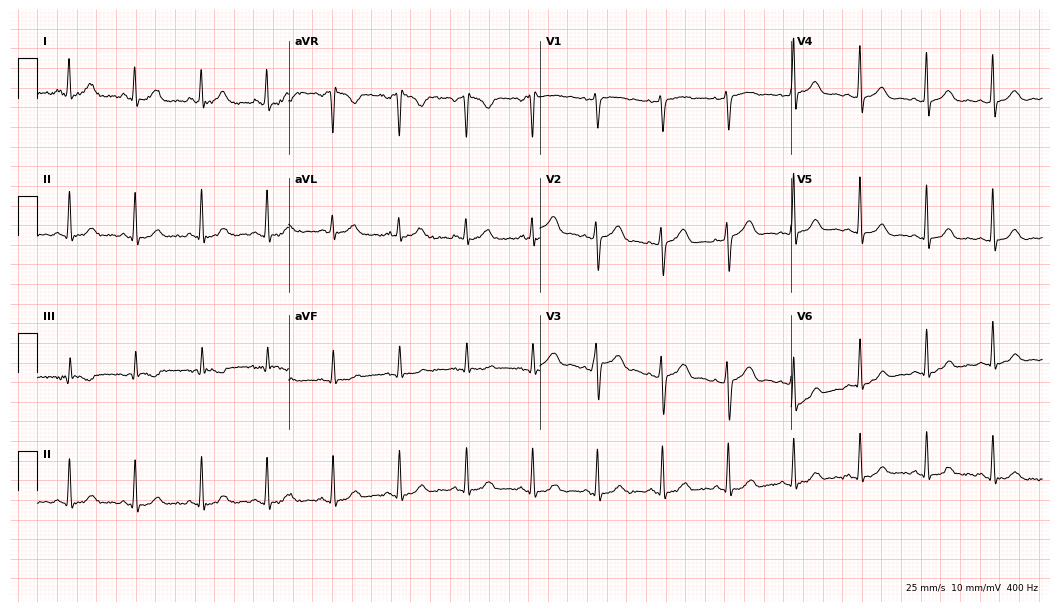
12-lead ECG (10.2-second recording at 400 Hz) from a female, 43 years old. Labelled as a normal ECG.